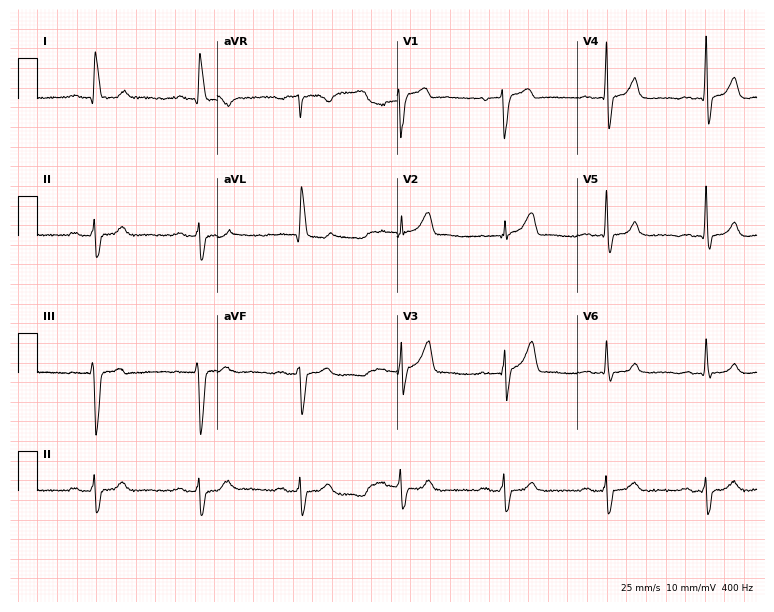
12-lead ECG from a 72-year-old man (7.3-second recording at 400 Hz). Shows first-degree AV block.